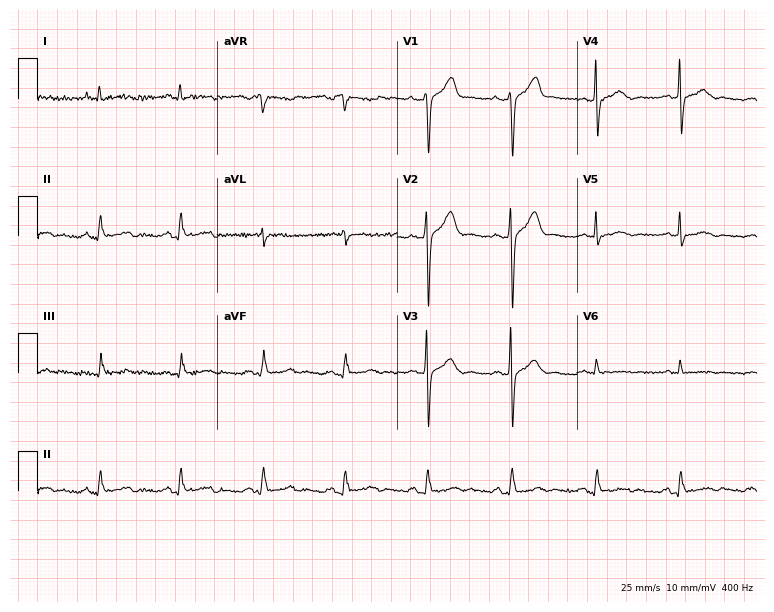
Standard 12-lead ECG recorded from a man, 53 years old. None of these six findings is recorded: first-degree AV block, right bundle branch block (RBBB), left bundle branch block (LBBB), sinus bradycardia, atrial fibrillation (AF), sinus tachycardia.